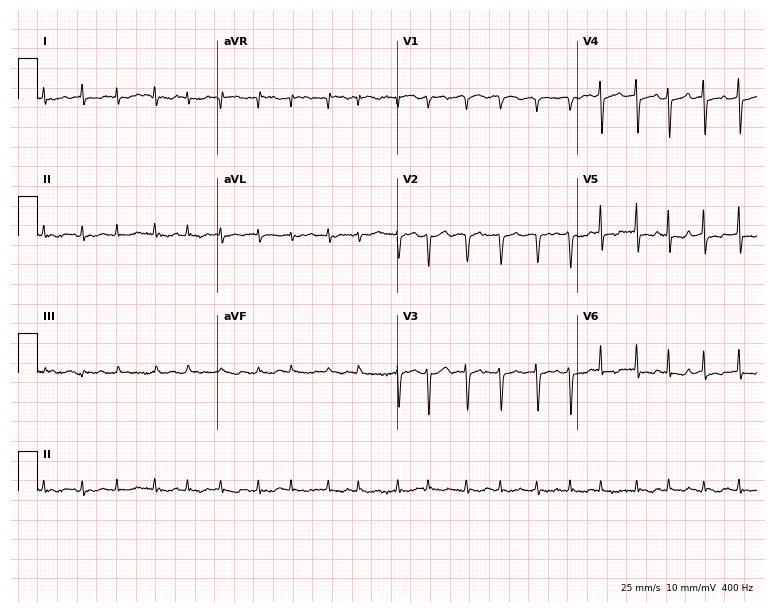
ECG — a 78-year-old female. Findings include atrial fibrillation (AF).